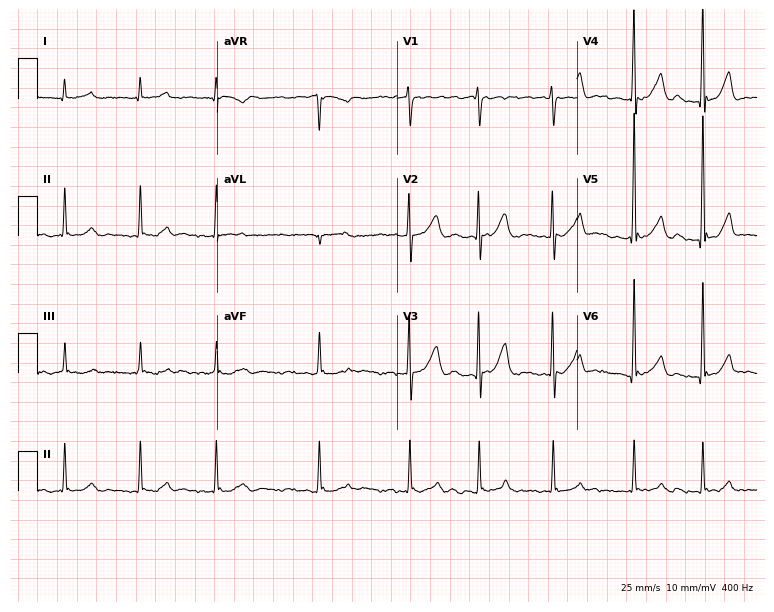
Standard 12-lead ECG recorded from a 52-year-old woman. The tracing shows atrial fibrillation.